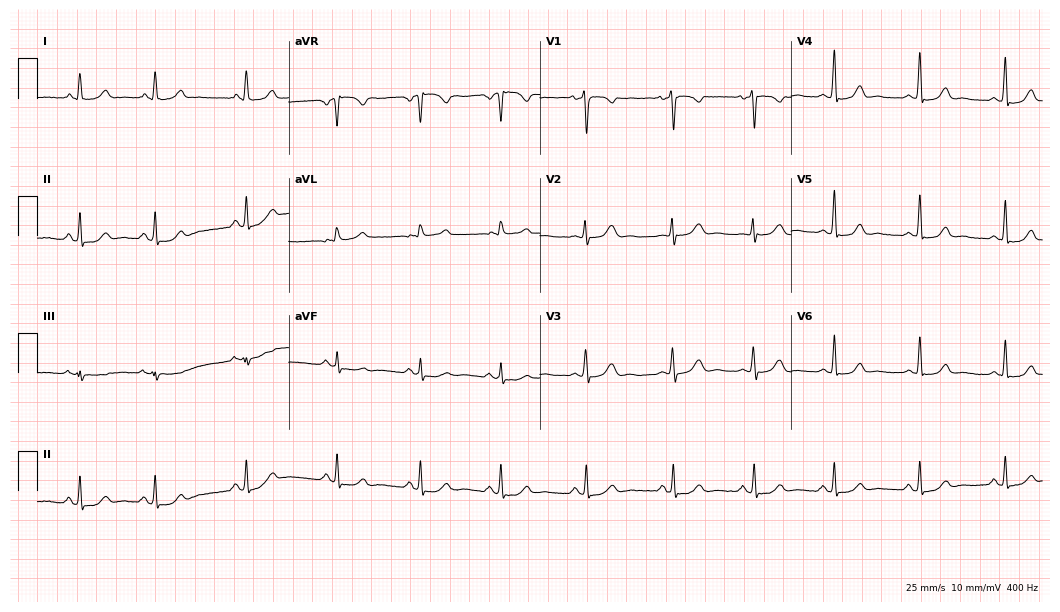
Resting 12-lead electrocardiogram. Patient: a 36-year-old female. Read as a normal ECG.